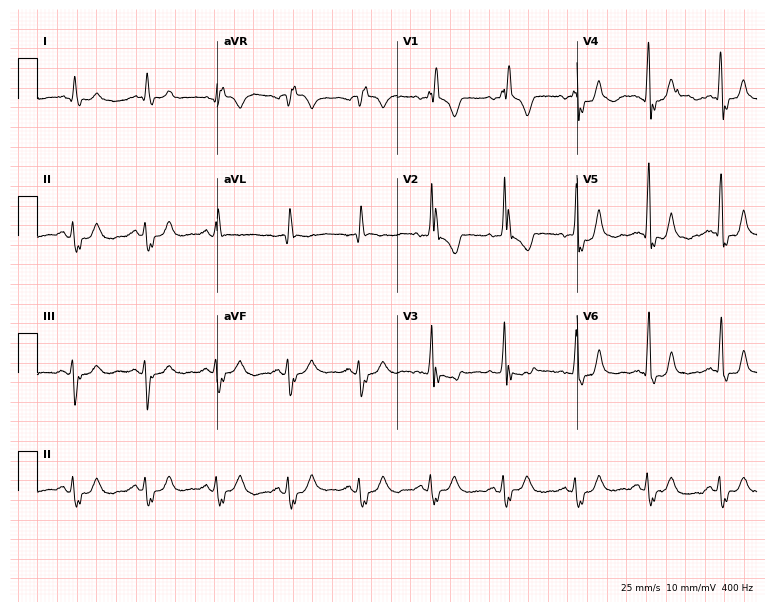
Resting 12-lead electrocardiogram (7.3-second recording at 400 Hz). Patient: an 80-year-old female. The tracing shows right bundle branch block.